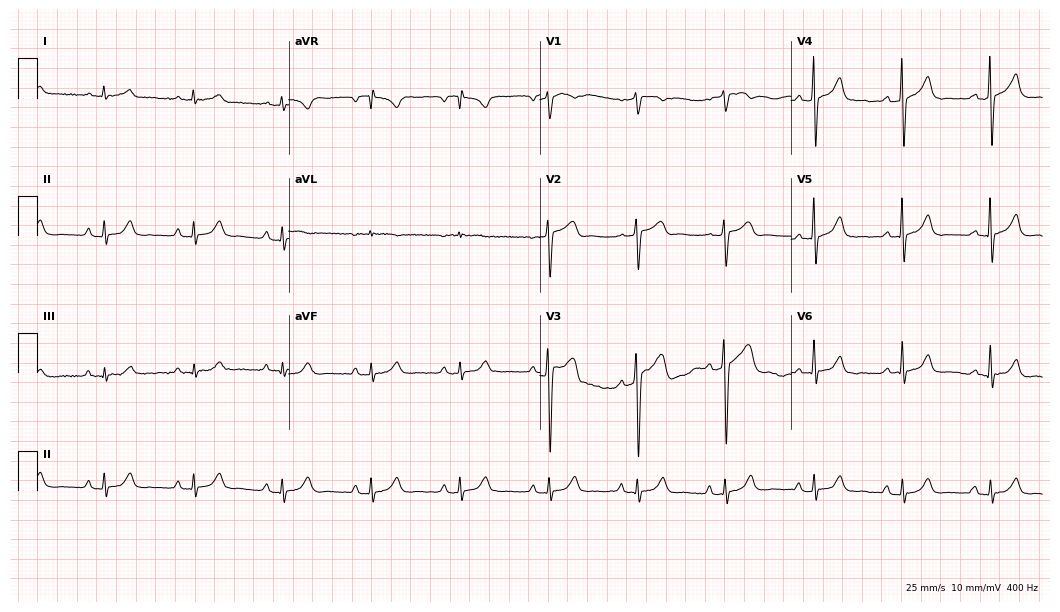
Resting 12-lead electrocardiogram (10.2-second recording at 400 Hz). Patient: a male, 56 years old. Read as a normal ECG.